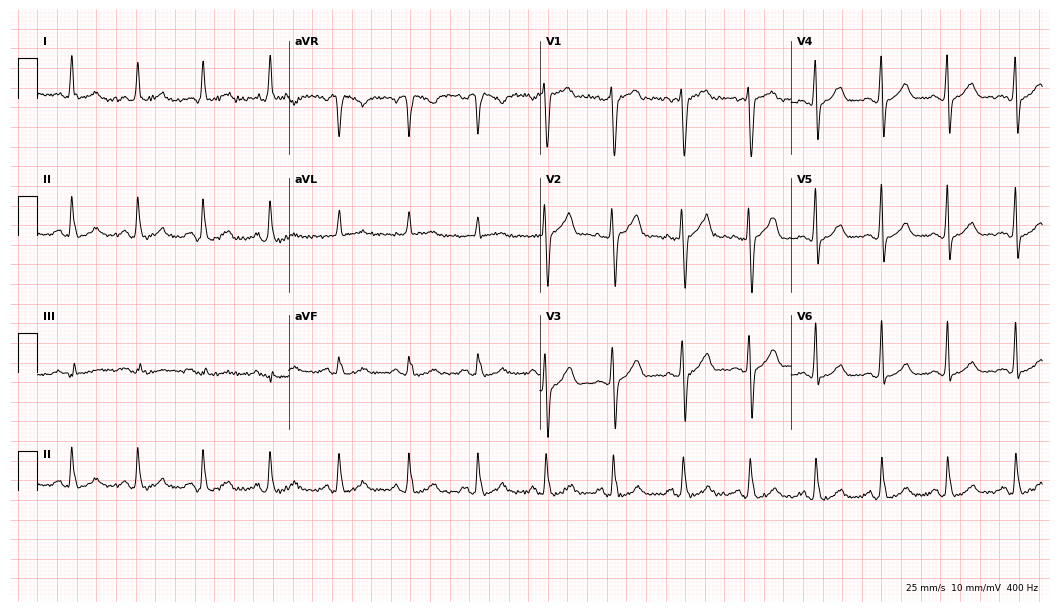
12-lead ECG (10.2-second recording at 400 Hz) from a man, 50 years old. Labelled as a normal ECG.